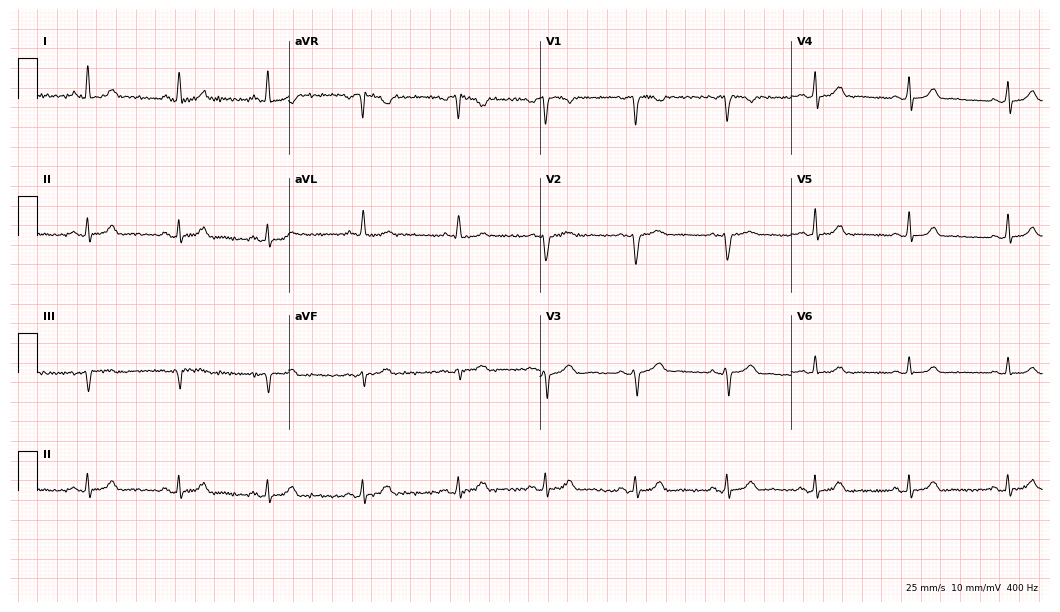
12-lead ECG from a 19-year-old female patient. Recorded interpretation: within normal limits.